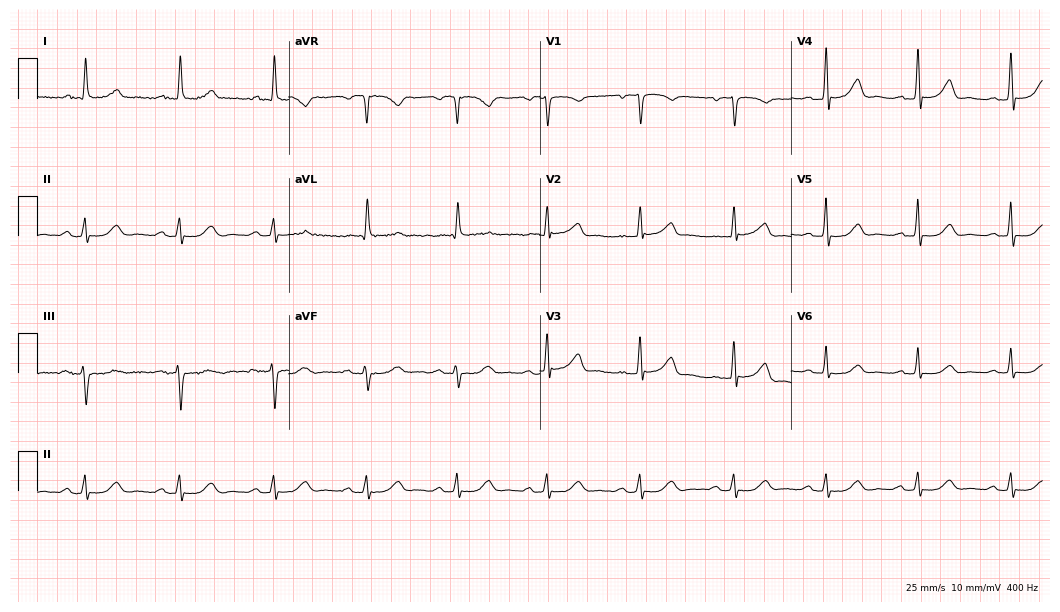
Electrocardiogram (10.2-second recording at 400 Hz), a 77-year-old female. Overall reading on record: normal ECG.